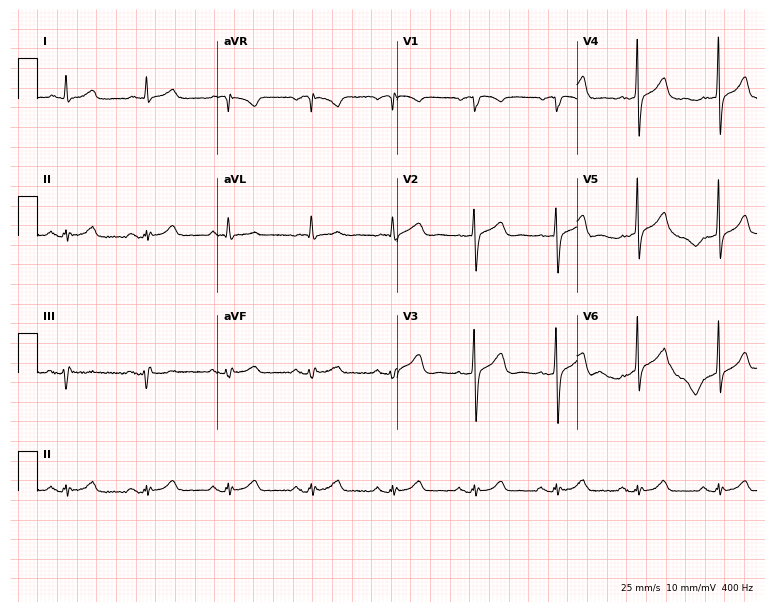
Resting 12-lead electrocardiogram. Patient: a male, 78 years old. Read as a normal ECG.